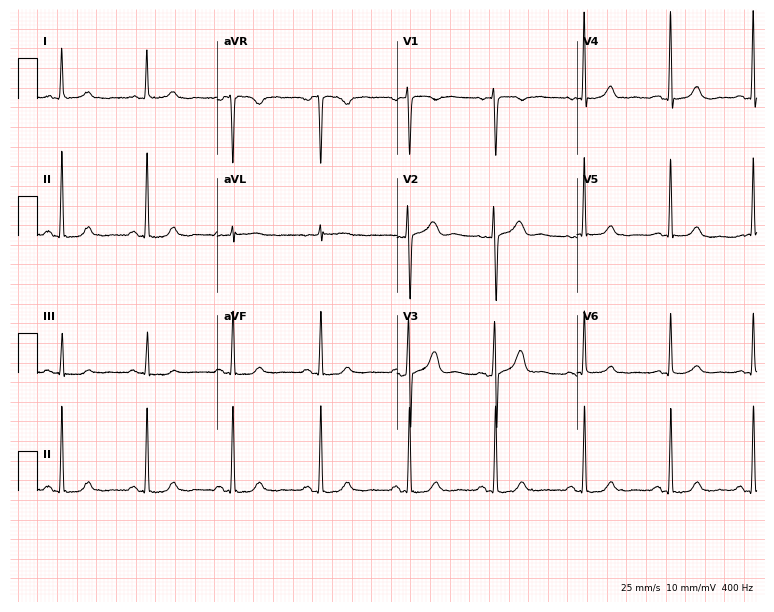
12-lead ECG from a woman, 25 years old. Recorded interpretation: within normal limits.